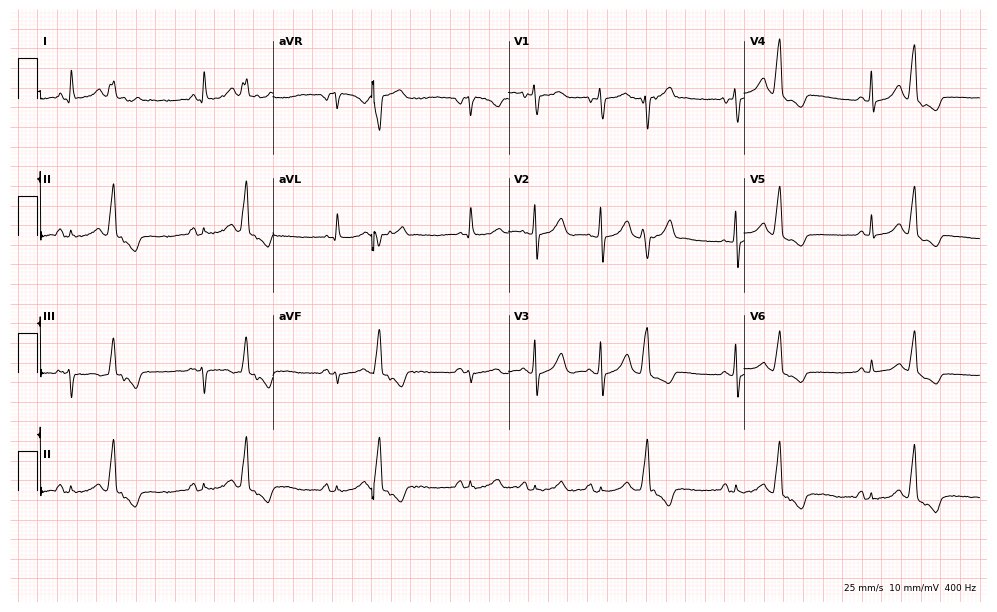
Resting 12-lead electrocardiogram. Patient: a woman, 81 years old. None of these six findings is recorded: first-degree AV block, right bundle branch block (RBBB), left bundle branch block (LBBB), sinus bradycardia, atrial fibrillation (AF), sinus tachycardia.